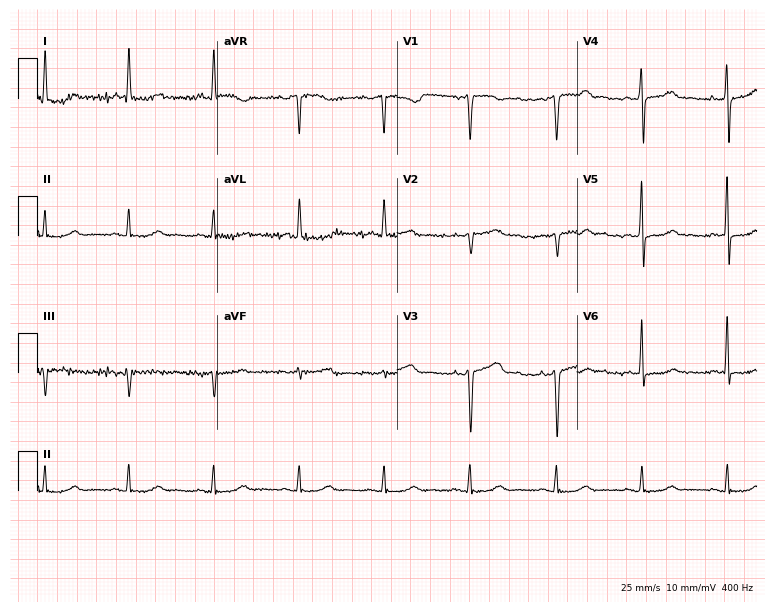
12-lead ECG (7.3-second recording at 400 Hz) from a female patient, 61 years old. Screened for six findings — first-degree AV block, right bundle branch block, left bundle branch block, sinus bradycardia, atrial fibrillation, sinus tachycardia — none is recorded.